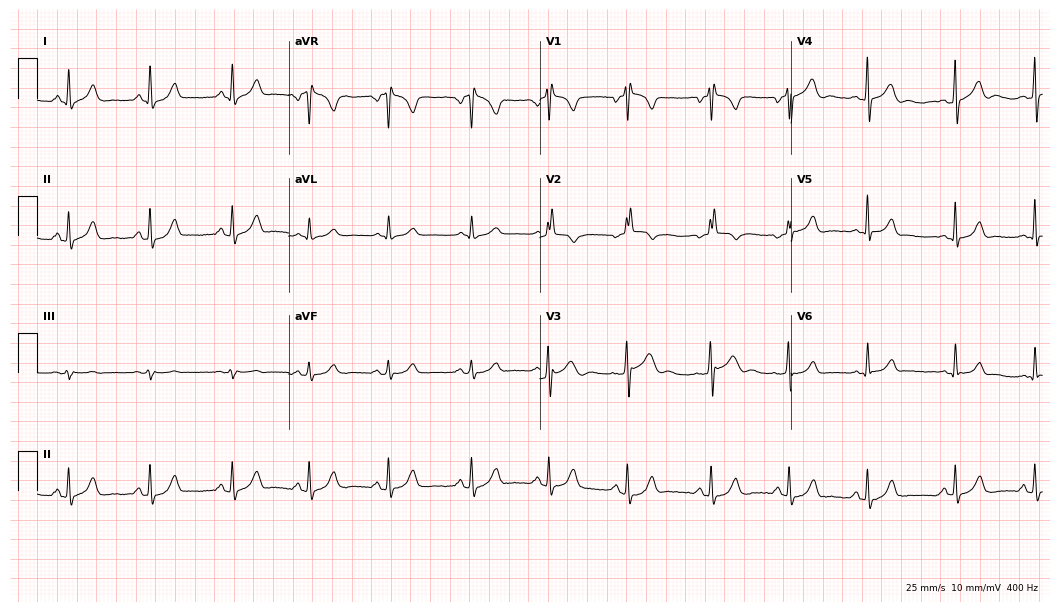
12-lead ECG from a female, 22 years old (10.2-second recording at 400 Hz). No first-degree AV block, right bundle branch block, left bundle branch block, sinus bradycardia, atrial fibrillation or sinus tachycardia recorded for this tracing.